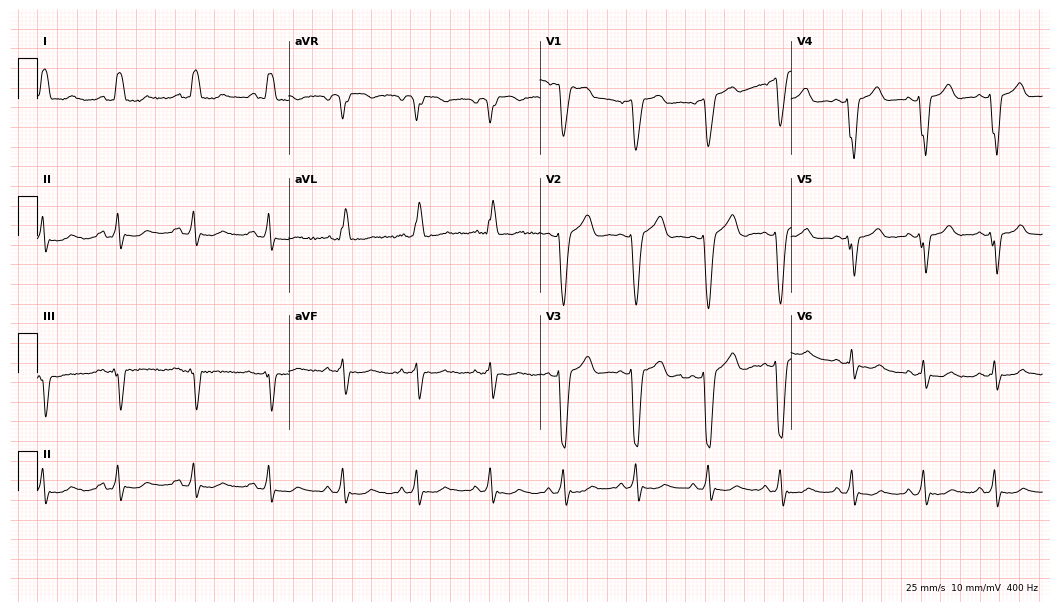
Electrocardiogram (10.2-second recording at 400 Hz), a 72-year-old female patient. Interpretation includes left bundle branch block (LBBB).